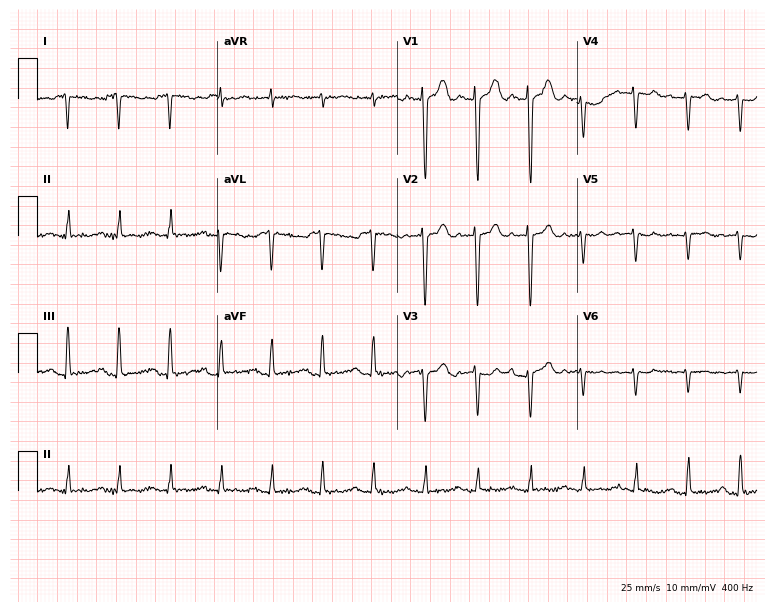
Electrocardiogram (7.3-second recording at 400 Hz), a 35-year-old male. Of the six screened findings (first-degree AV block, right bundle branch block (RBBB), left bundle branch block (LBBB), sinus bradycardia, atrial fibrillation (AF), sinus tachycardia), none is recorded. Other findings, if any, are not listed.